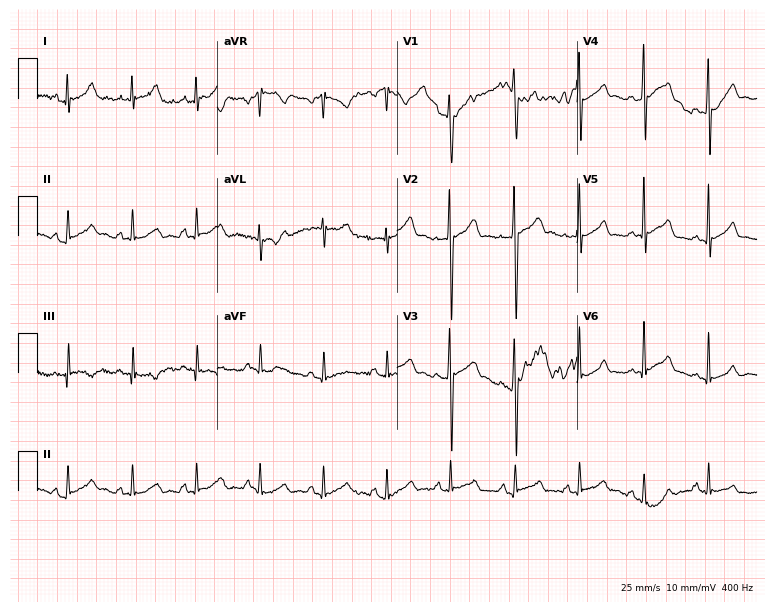
12-lead ECG (7.3-second recording at 400 Hz) from a 20-year-old man. Labelled as a normal ECG.